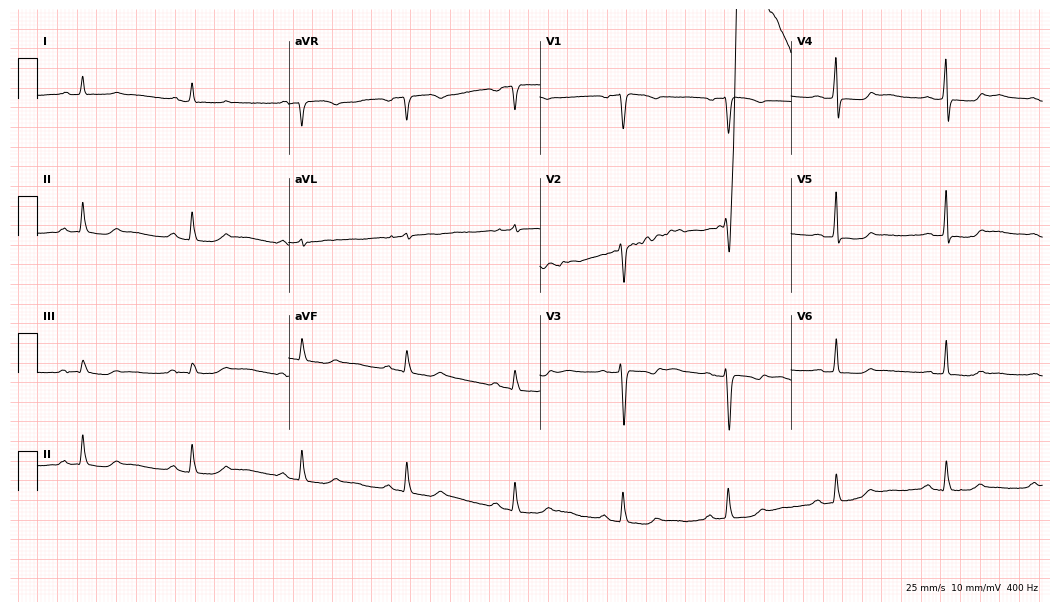
Electrocardiogram, a 64-year-old female. Of the six screened findings (first-degree AV block, right bundle branch block, left bundle branch block, sinus bradycardia, atrial fibrillation, sinus tachycardia), none is recorded. Only these six findings were labelled.